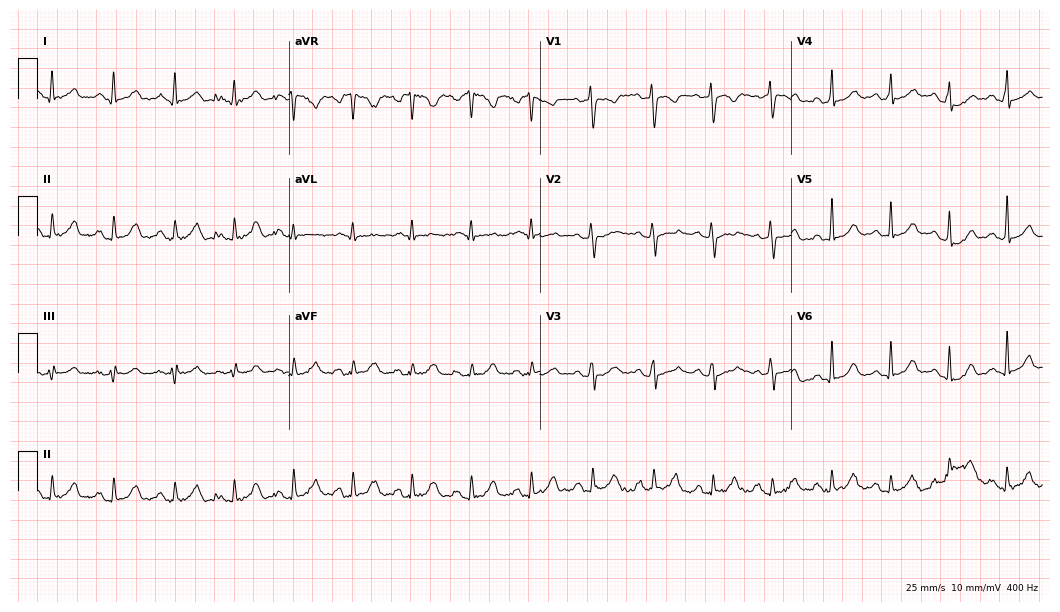
12-lead ECG from a female, 37 years old. Screened for six findings — first-degree AV block, right bundle branch block (RBBB), left bundle branch block (LBBB), sinus bradycardia, atrial fibrillation (AF), sinus tachycardia — none is recorded. Other findings, if any, are not listed.